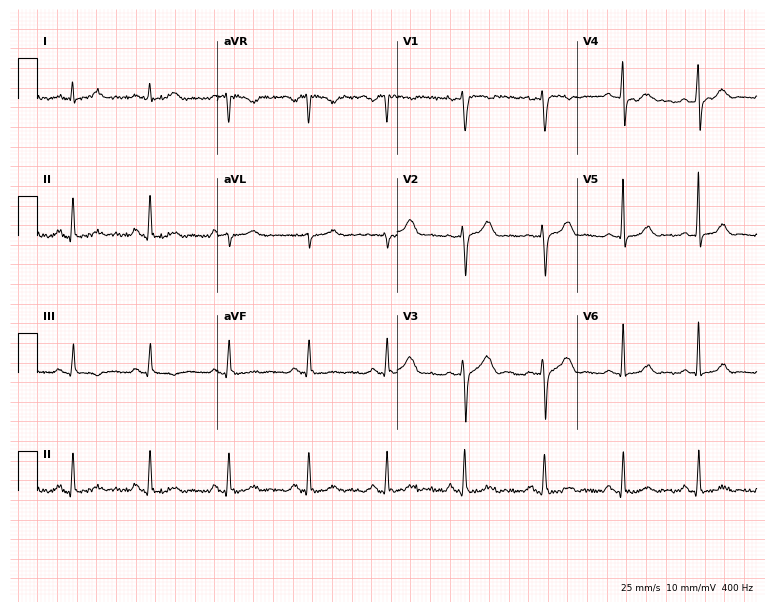
Standard 12-lead ECG recorded from a 29-year-old female patient. Read as a normal ECG.